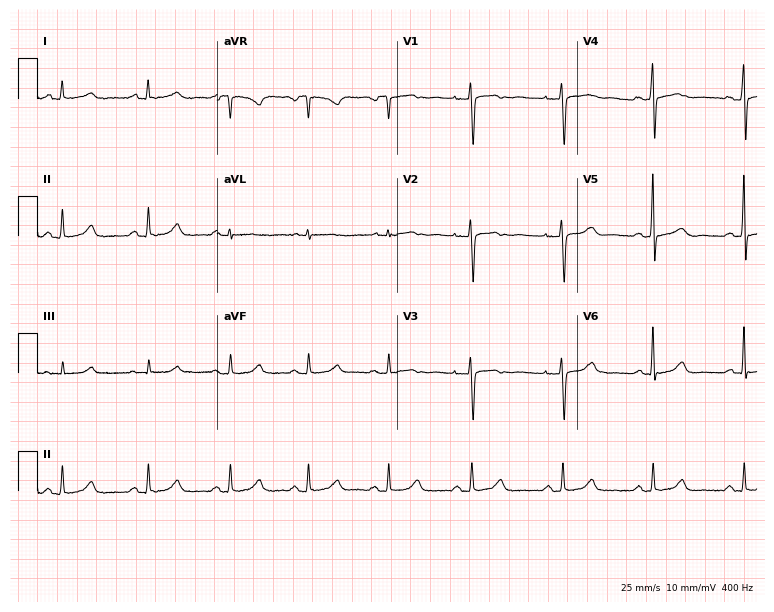
12-lead ECG from a female, 46 years old. Recorded interpretation: within normal limits.